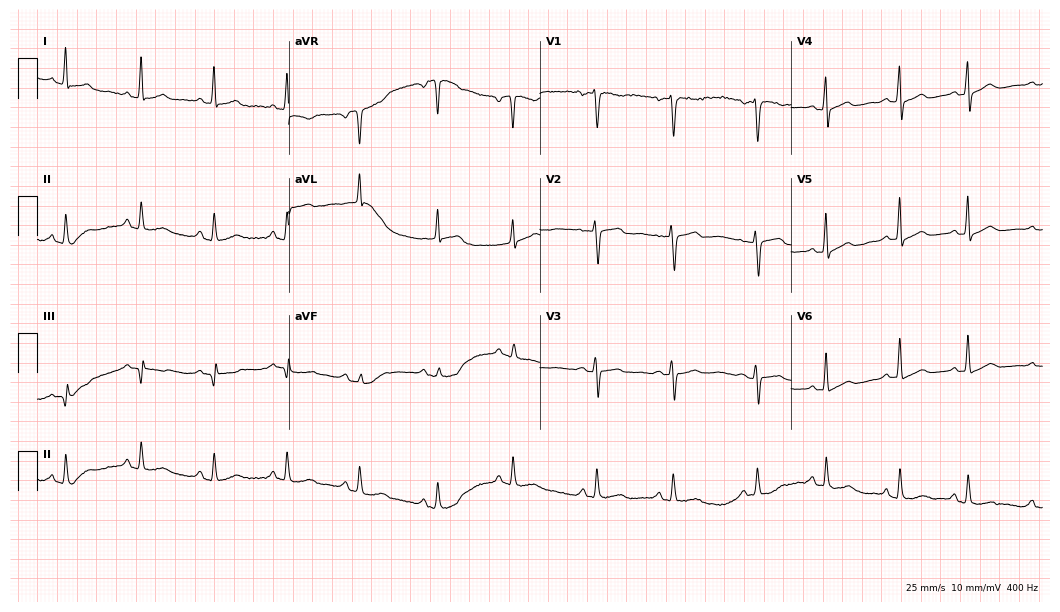
12-lead ECG from a 52-year-old female patient. Labelled as a normal ECG.